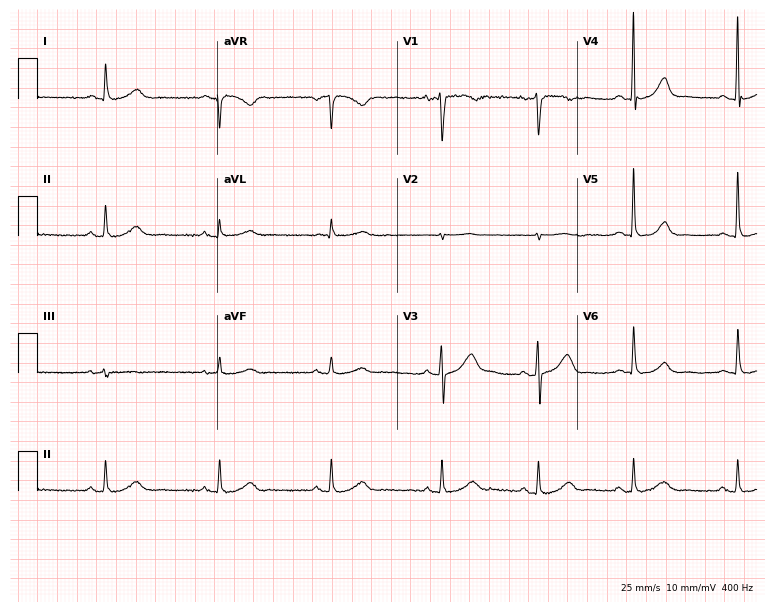
ECG (7.3-second recording at 400 Hz) — a 60-year-old male patient. Labelled as a normal ECG.